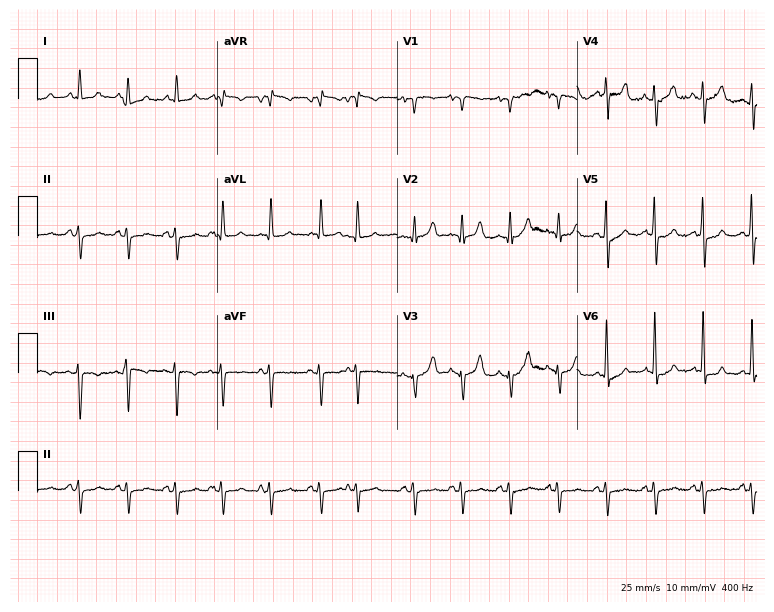
12-lead ECG from a male, 82 years old (7.3-second recording at 400 Hz). Shows sinus tachycardia (a sinus rate of 100 beats per minute or more).